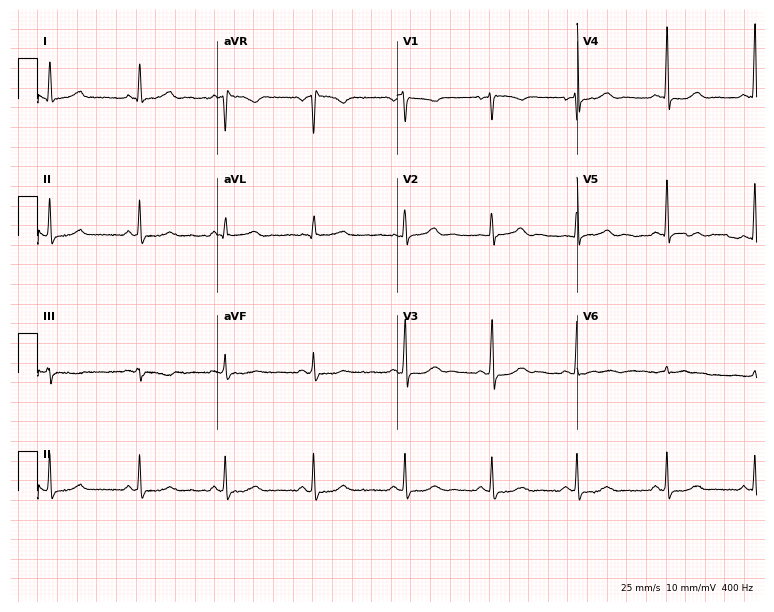
Resting 12-lead electrocardiogram. Patient: a 47-year-old woman. Read as a normal ECG.